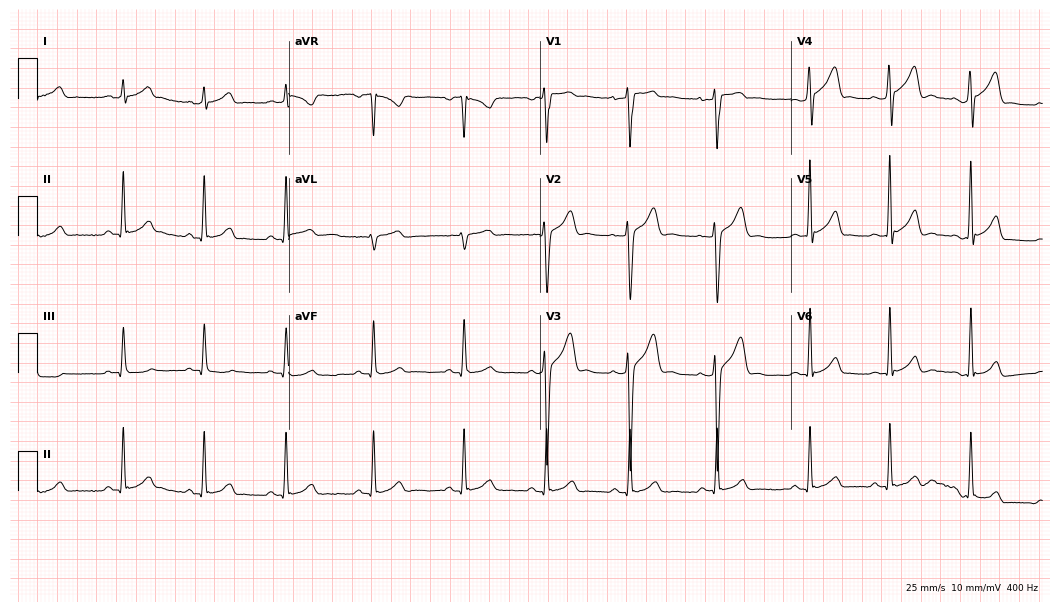
12-lead ECG from a 22-year-old male. Recorded interpretation: within normal limits.